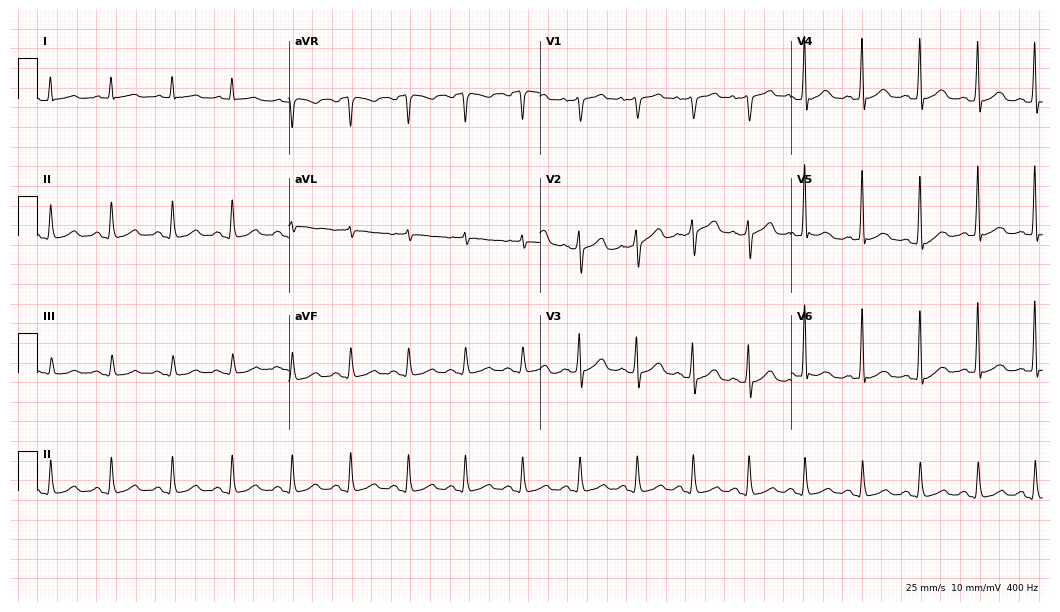
12-lead ECG (10.2-second recording at 400 Hz) from a male, 69 years old. Findings include sinus tachycardia (a sinus rate of 100 beats per minute or more).